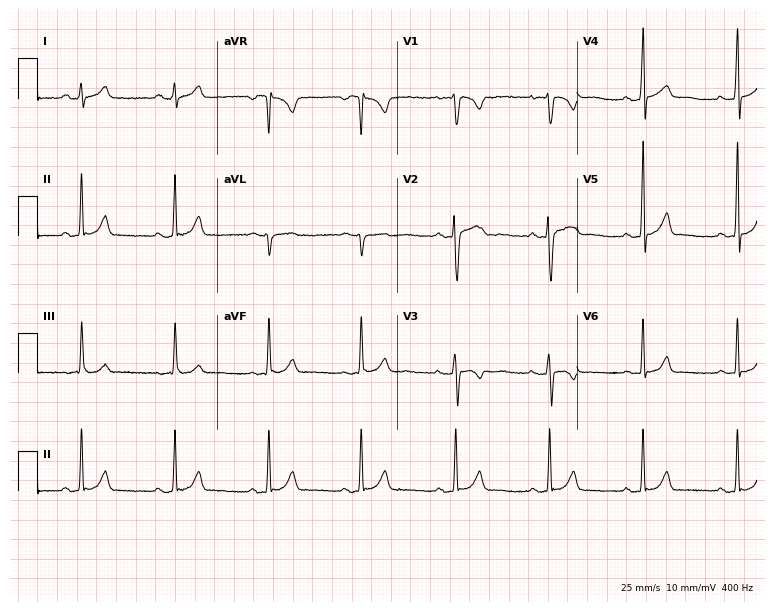
ECG — a 39-year-old woman. Labelled as a normal ECG.